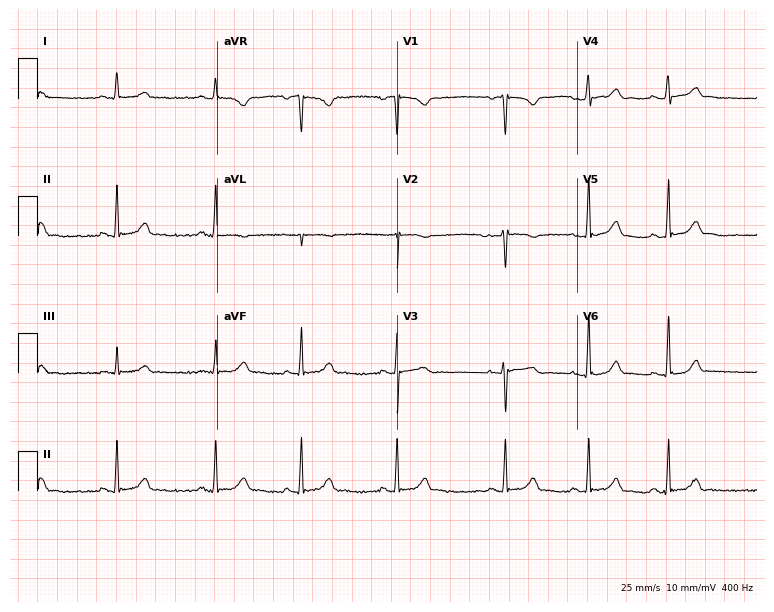
Electrocardiogram (7.3-second recording at 400 Hz), a woman, 31 years old. Overall reading on record: normal ECG.